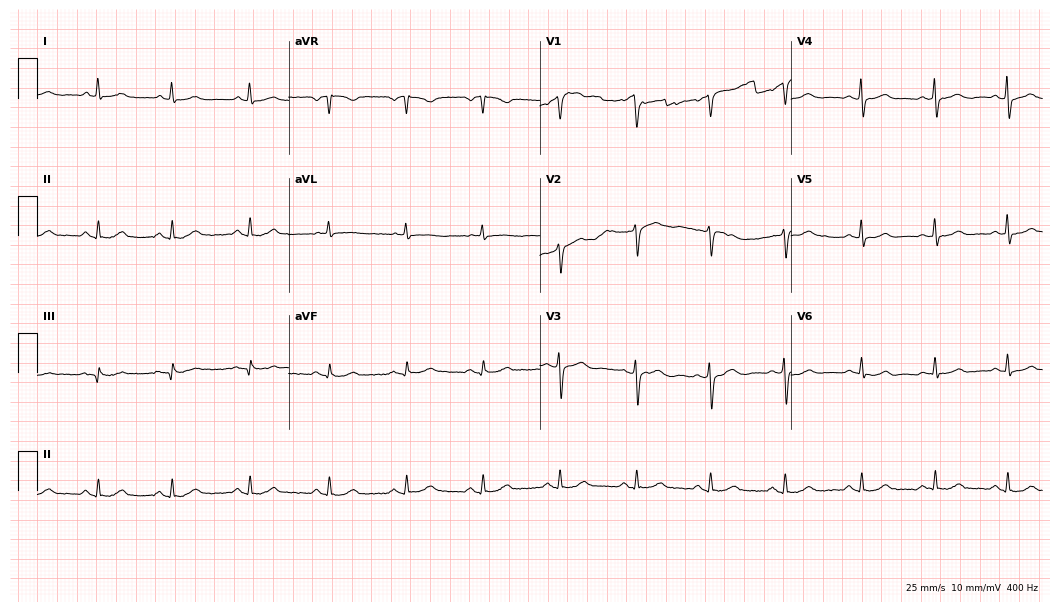
Resting 12-lead electrocardiogram. Patient: a 62-year-old male. Read as a normal ECG.